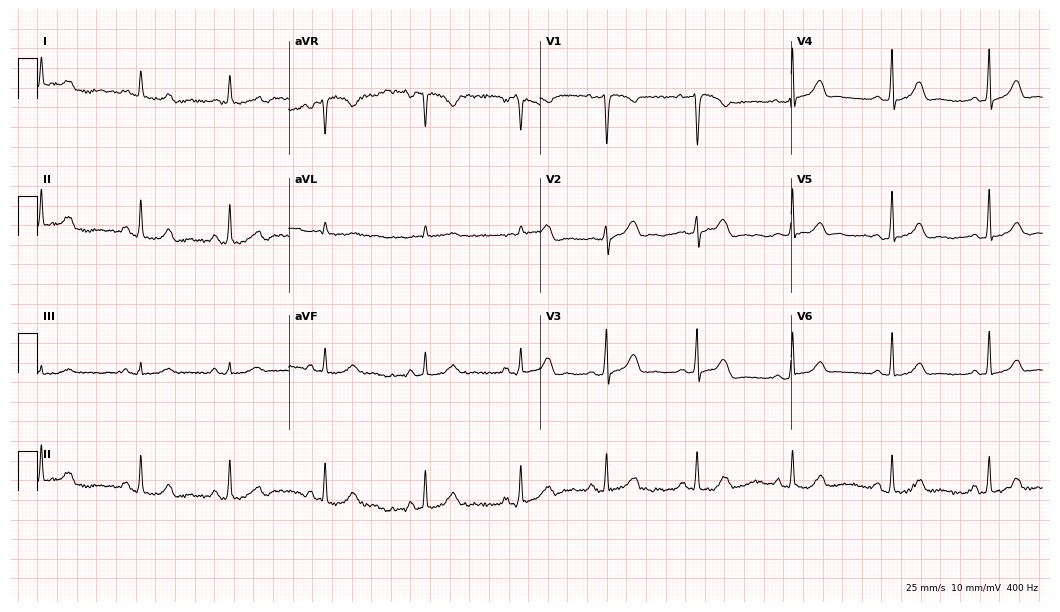
ECG — a woman, 40 years old. Labelled as a normal ECG.